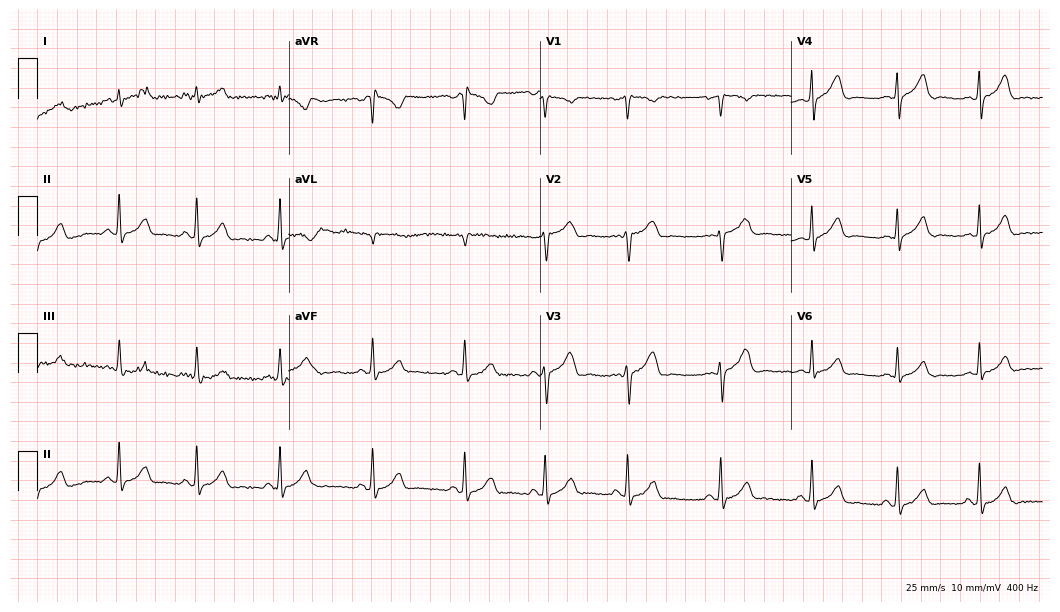
12-lead ECG from a female patient, 33 years old. Labelled as a normal ECG.